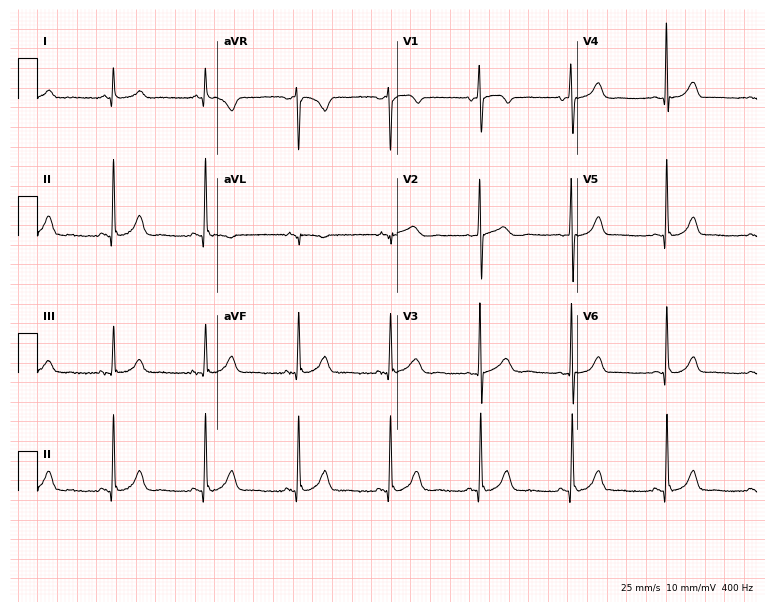
12-lead ECG (7.3-second recording at 400 Hz) from a woman, 59 years old. Labelled as a normal ECG.